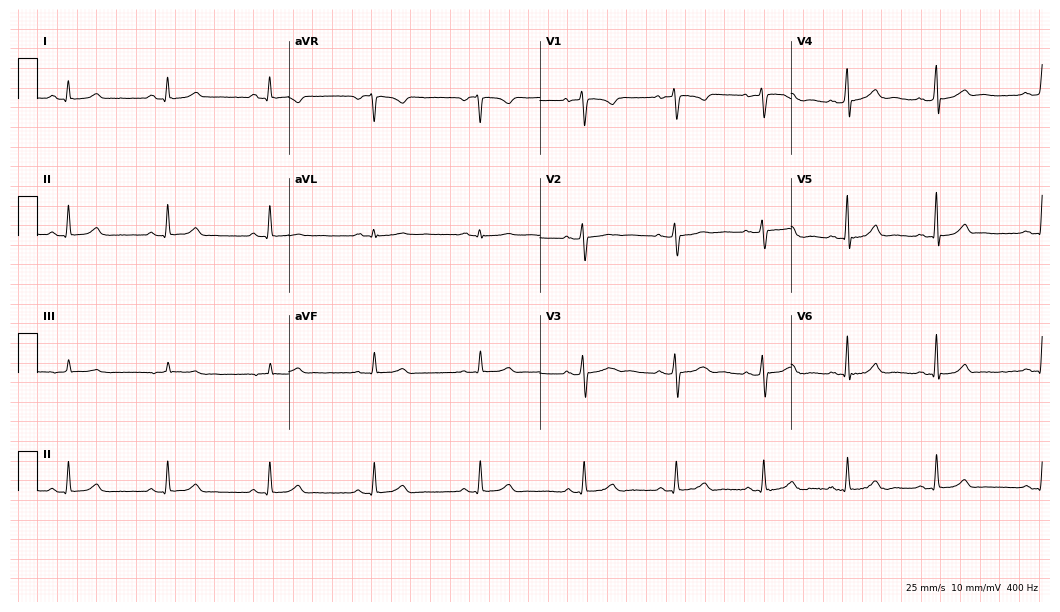
Resting 12-lead electrocardiogram. Patient: a female, 28 years old. Read as a normal ECG.